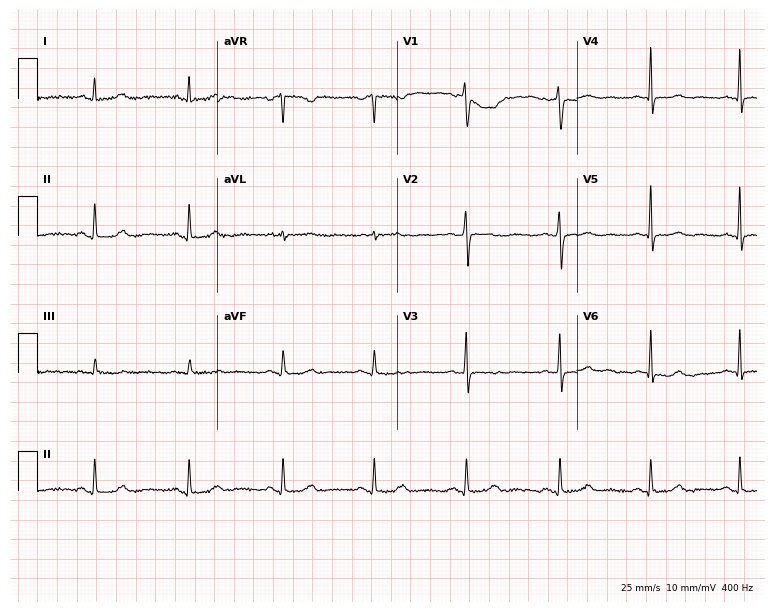
12-lead ECG (7.3-second recording at 400 Hz) from a 50-year-old woman. Screened for six findings — first-degree AV block, right bundle branch block, left bundle branch block, sinus bradycardia, atrial fibrillation, sinus tachycardia — none is recorded. Other findings, if any, are not listed.